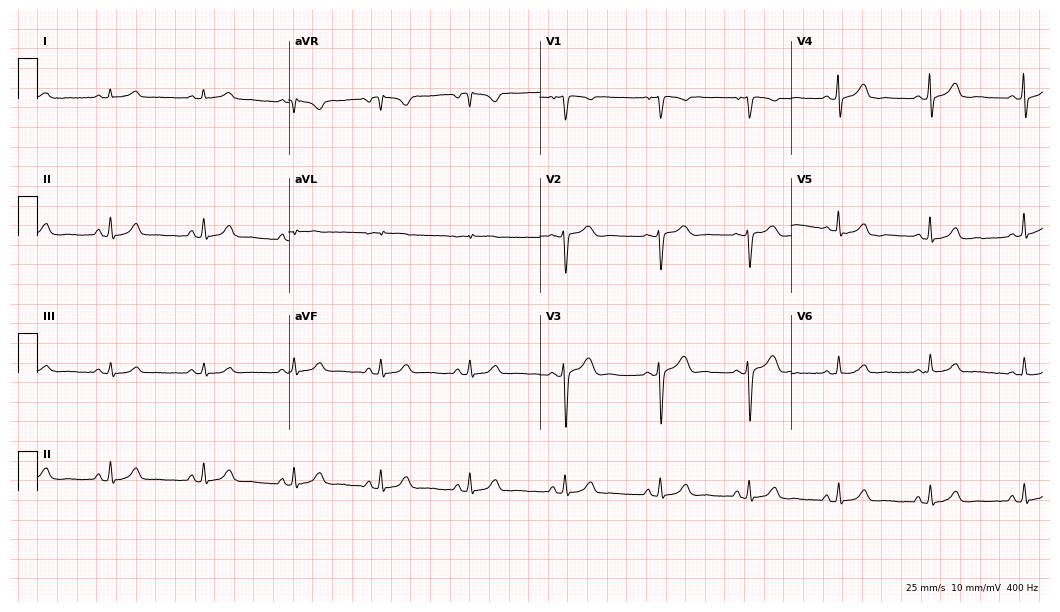
ECG (10.2-second recording at 400 Hz) — a 43-year-old male patient. Labelled as a normal ECG.